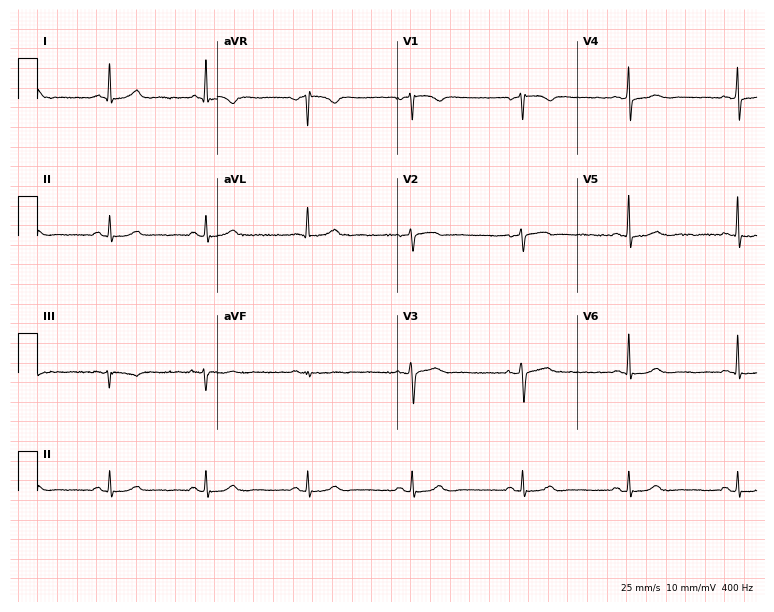
12-lead ECG (7.3-second recording at 400 Hz) from a 55-year-old woman. Labelled as a normal ECG.